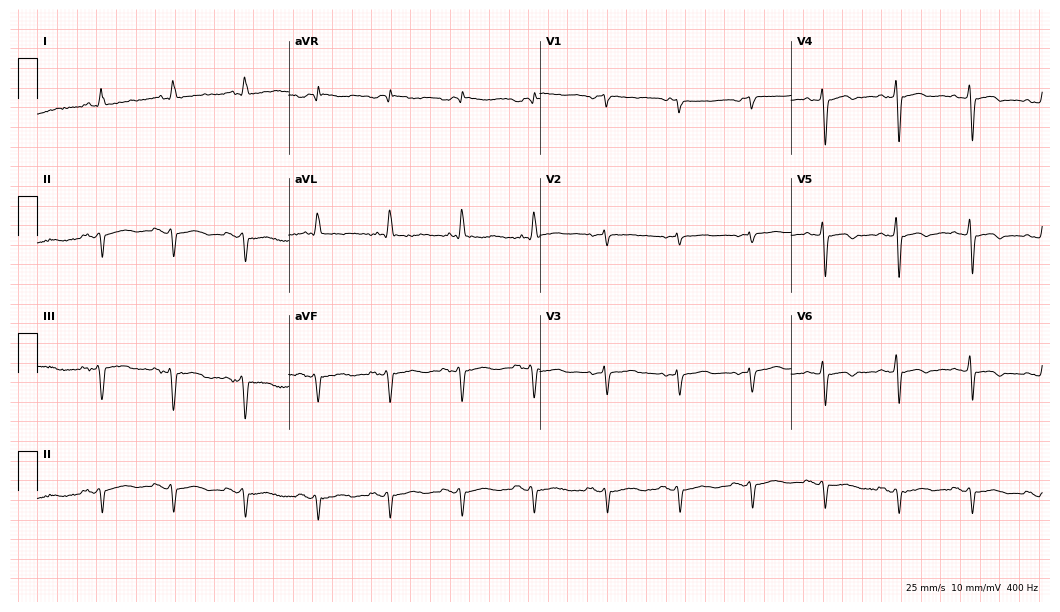
Electrocardiogram, a woman, 62 years old. Of the six screened findings (first-degree AV block, right bundle branch block (RBBB), left bundle branch block (LBBB), sinus bradycardia, atrial fibrillation (AF), sinus tachycardia), none is recorded.